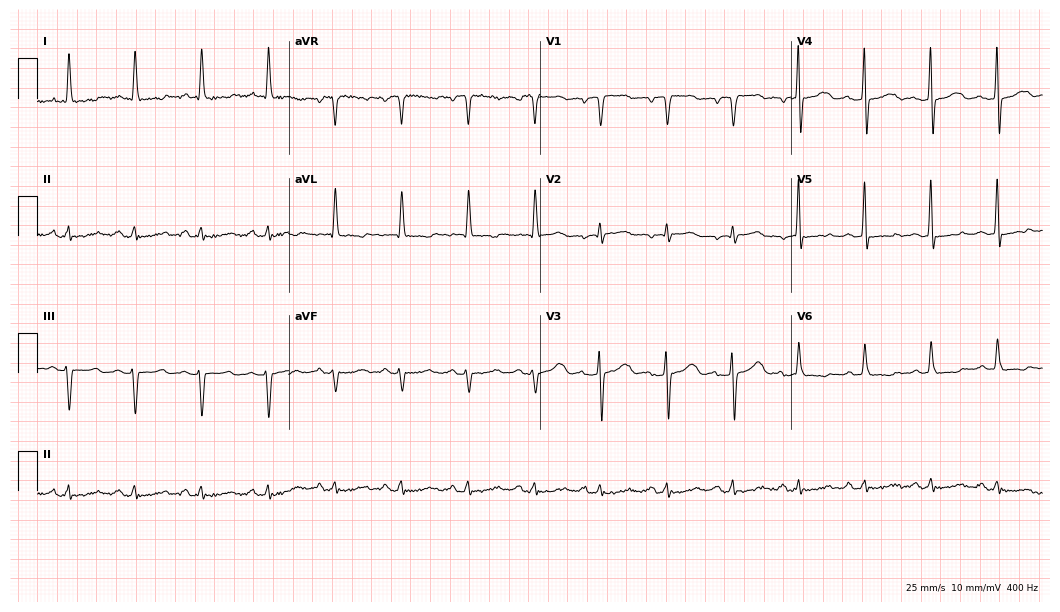
Resting 12-lead electrocardiogram. Patient: a 68-year-old woman. None of these six findings is recorded: first-degree AV block, right bundle branch block, left bundle branch block, sinus bradycardia, atrial fibrillation, sinus tachycardia. Only these six findings were labelled.